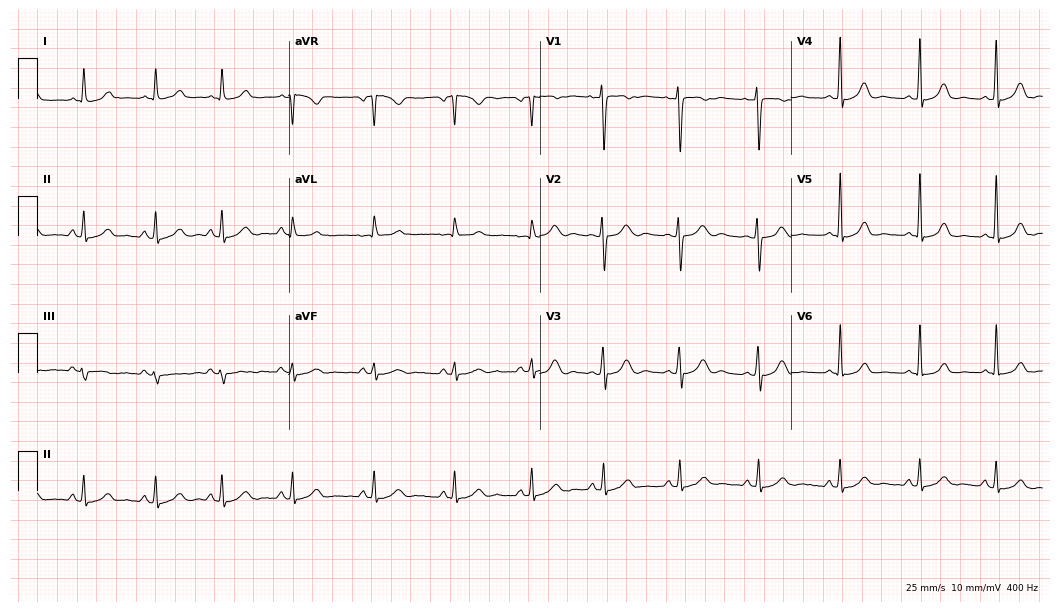
12-lead ECG (10.2-second recording at 400 Hz) from a woman, 34 years old. Labelled as a normal ECG.